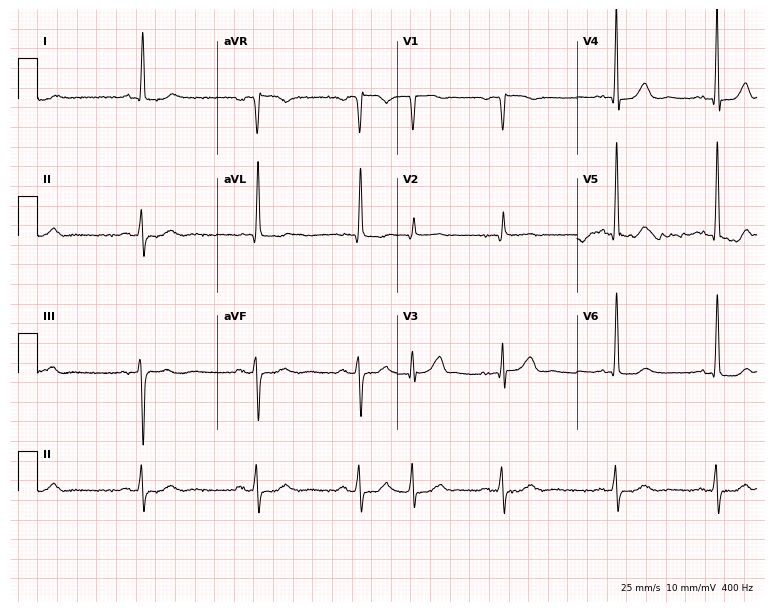
12-lead ECG (7.3-second recording at 400 Hz) from a female patient, 78 years old. Screened for six findings — first-degree AV block, right bundle branch block, left bundle branch block, sinus bradycardia, atrial fibrillation, sinus tachycardia — none is recorded. Findings outside these six are not listed.